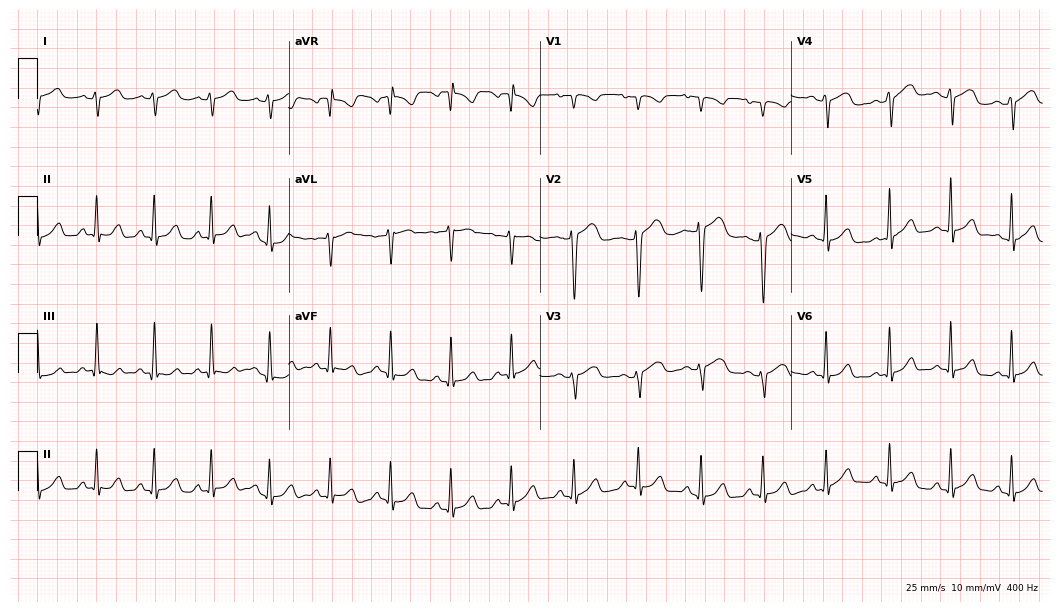
12-lead ECG (10.2-second recording at 400 Hz) from a 30-year-old female. Screened for six findings — first-degree AV block, right bundle branch block, left bundle branch block, sinus bradycardia, atrial fibrillation, sinus tachycardia — none is recorded. Only these six findings were labelled.